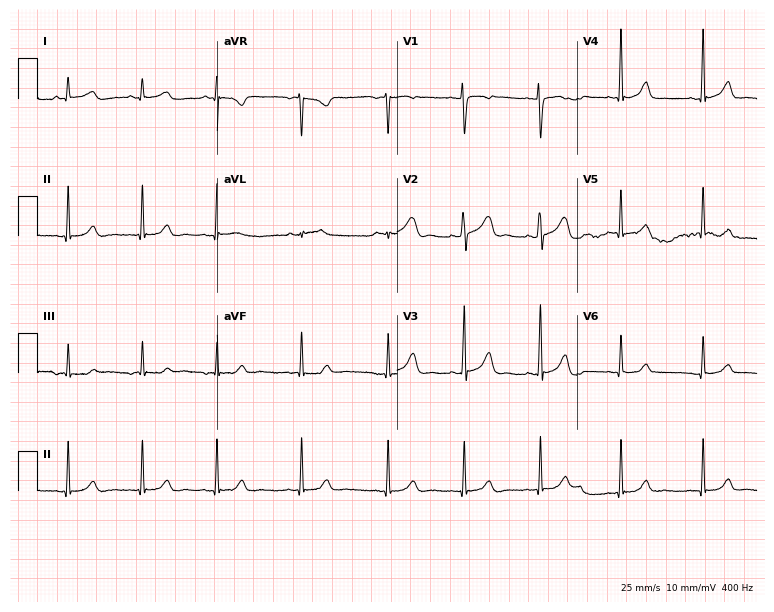
Electrocardiogram (7.3-second recording at 400 Hz), a woman, 26 years old. Of the six screened findings (first-degree AV block, right bundle branch block (RBBB), left bundle branch block (LBBB), sinus bradycardia, atrial fibrillation (AF), sinus tachycardia), none is recorded.